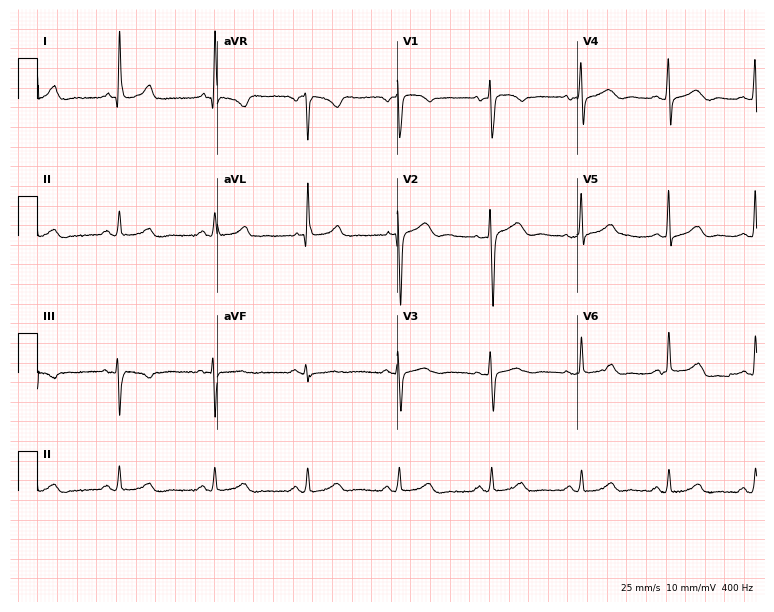
Standard 12-lead ECG recorded from a female, 57 years old. Read as a normal ECG.